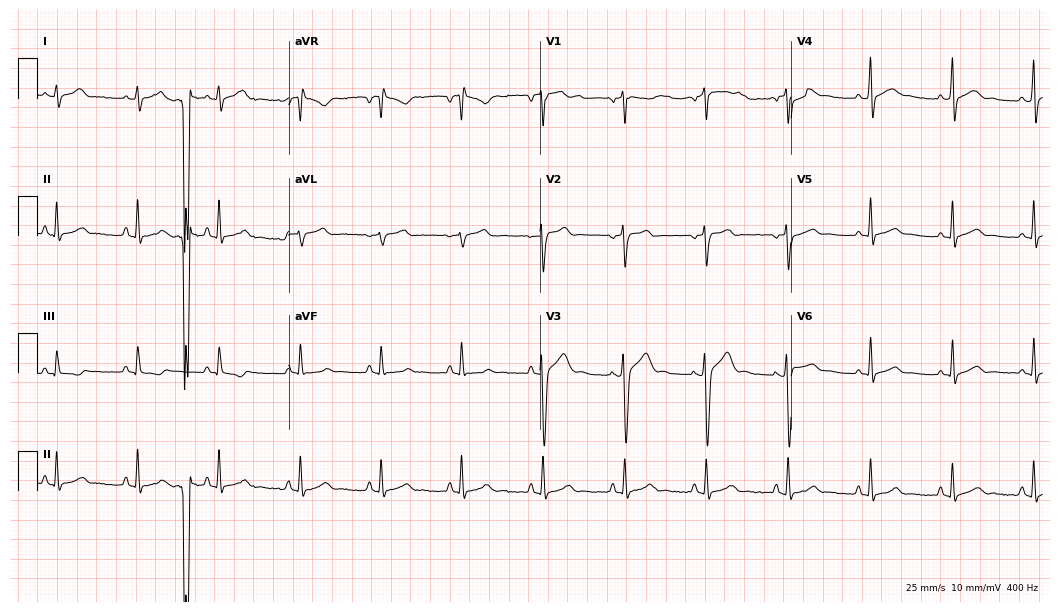
Resting 12-lead electrocardiogram (10.2-second recording at 400 Hz). Patient: a man, 17 years old. Read as a normal ECG.